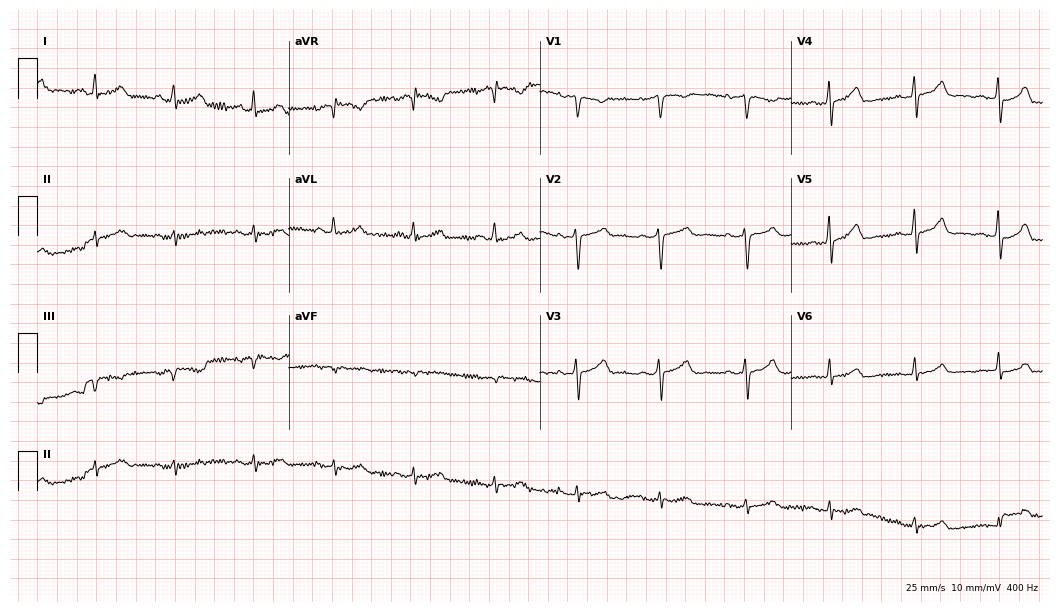
Standard 12-lead ECG recorded from a 42-year-old female patient (10.2-second recording at 400 Hz). None of these six findings is recorded: first-degree AV block, right bundle branch block (RBBB), left bundle branch block (LBBB), sinus bradycardia, atrial fibrillation (AF), sinus tachycardia. Only these six findings were labelled.